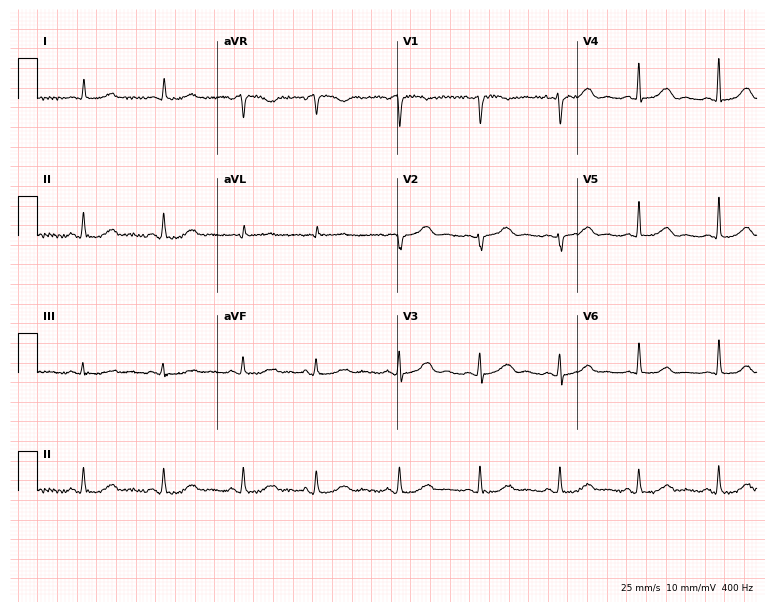
Standard 12-lead ECG recorded from an 80-year-old female patient. Read as a normal ECG.